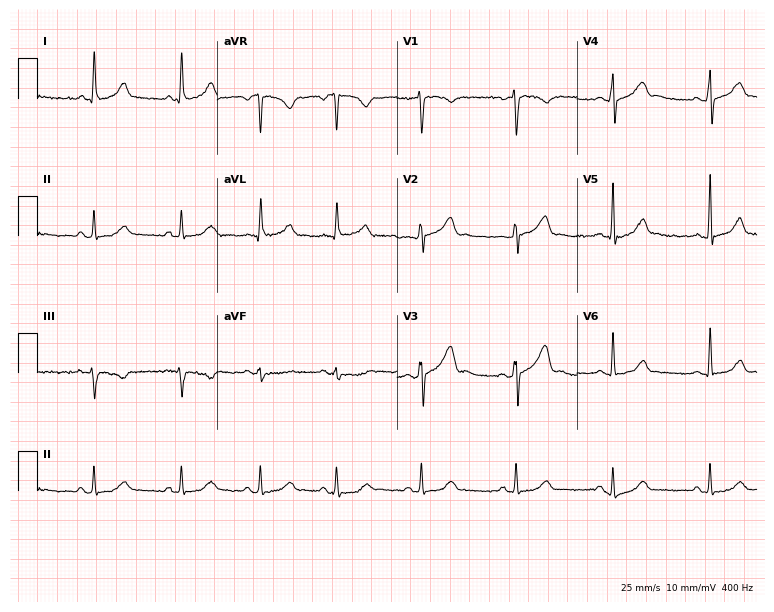
12-lead ECG from a female patient, 35 years old. Labelled as a normal ECG.